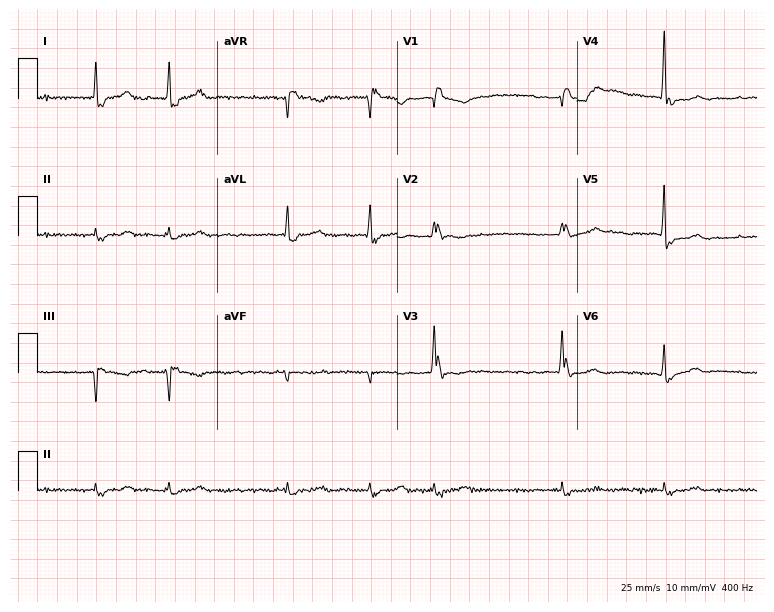
Standard 12-lead ECG recorded from a female patient, 72 years old (7.3-second recording at 400 Hz). None of these six findings is recorded: first-degree AV block, right bundle branch block (RBBB), left bundle branch block (LBBB), sinus bradycardia, atrial fibrillation (AF), sinus tachycardia.